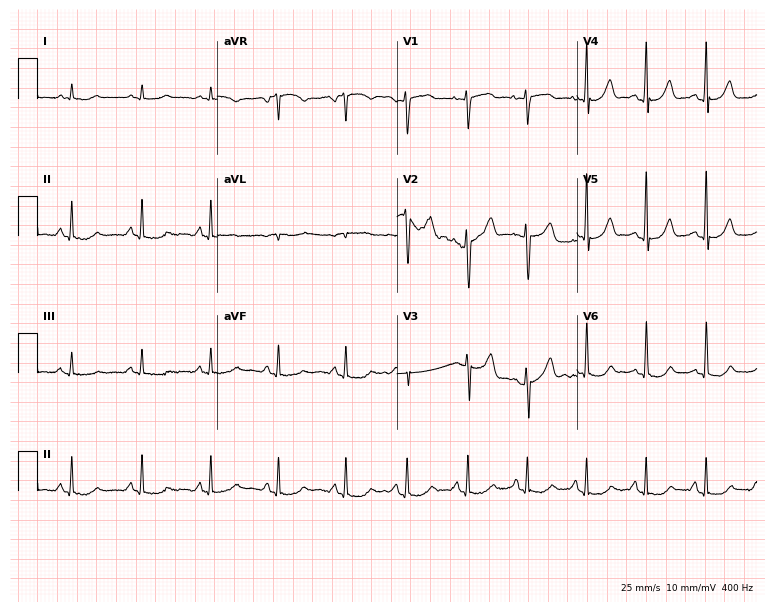
12-lead ECG (7.3-second recording at 400 Hz) from a 64-year-old man. Screened for six findings — first-degree AV block, right bundle branch block (RBBB), left bundle branch block (LBBB), sinus bradycardia, atrial fibrillation (AF), sinus tachycardia — none is recorded. Other findings, if any, are not listed.